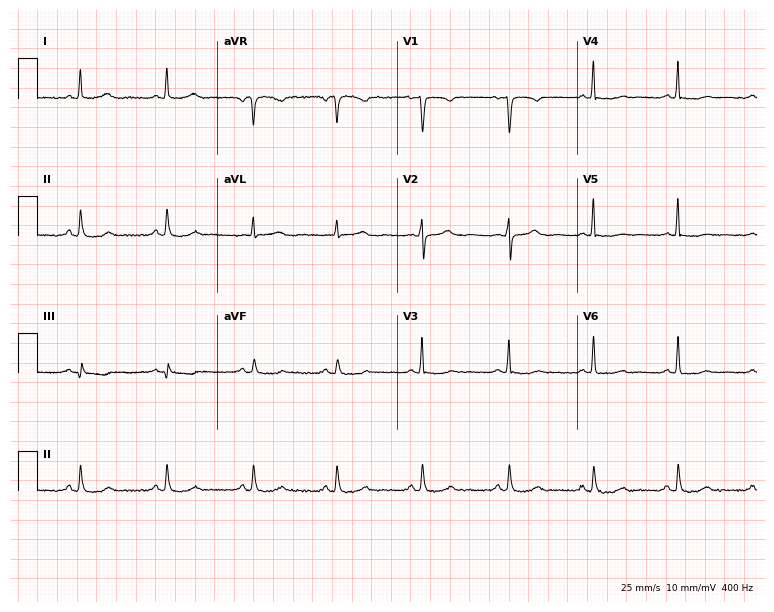
12-lead ECG (7.3-second recording at 400 Hz) from a 43-year-old female patient. Screened for six findings — first-degree AV block, right bundle branch block (RBBB), left bundle branch block (LBBB), sinus bradycardia, atrial fibrillation (AF), sinus tachycardia — none is recorded.